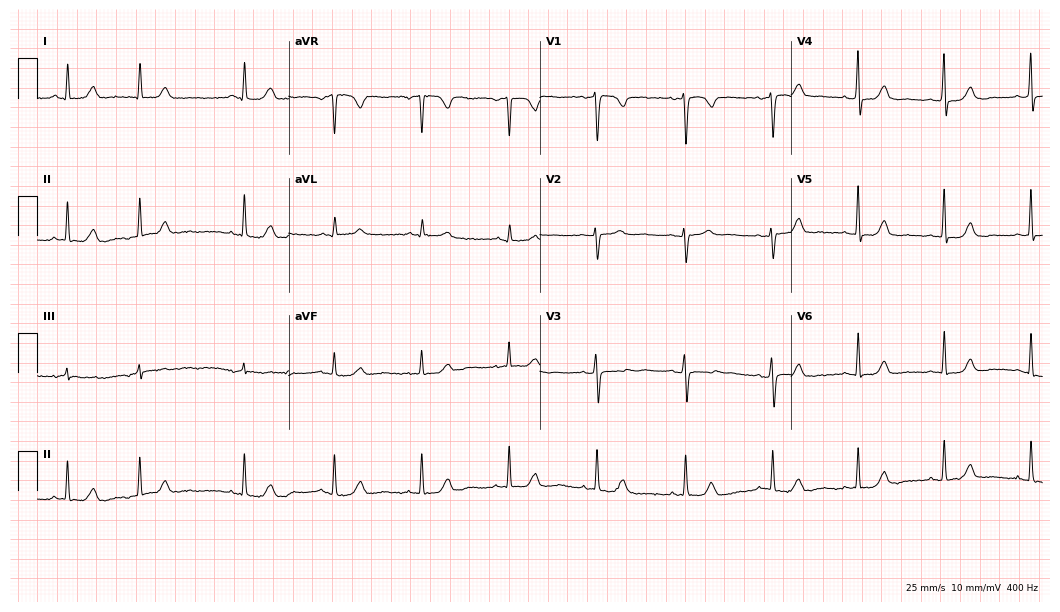
Electrocardiogram (10.2-second recording at 400 Hz), a 57-year-old female. Overall reading on record: normal ECG.